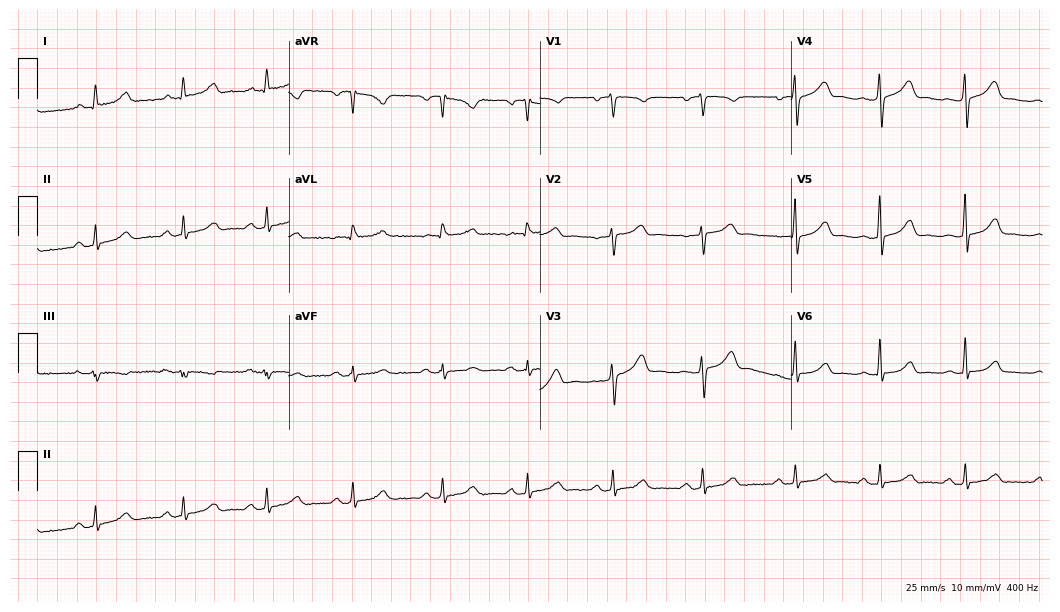
Electrocardiogram (10.2-second recording at 400 Hz), a female patient, 45 years old. Of the six screened findings (first-degree AV block, right bundle branch block (RBBB), left bundle branch block (LBBB), sinus bradycardia, atrial fibrillation (AF), sinus tachycardia), none is recorded.